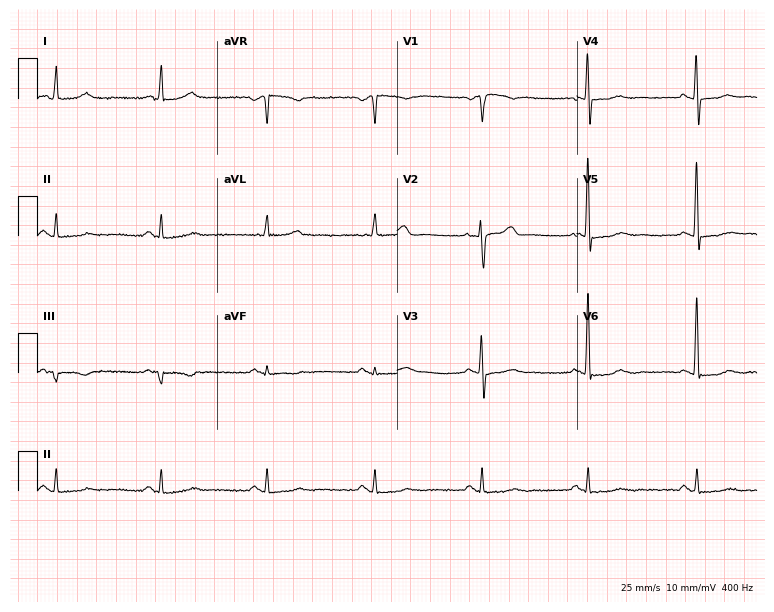
Resting 12-lead electrocardiogram (7.3-second recording at 400 Hz). Patient: a male, 71 years old. None of these six findings is recorded: first-degree AV block, right bundle branch block, left bundle branch block, sinus bradycardia, atrial fibrillation, sinus tachycardia.